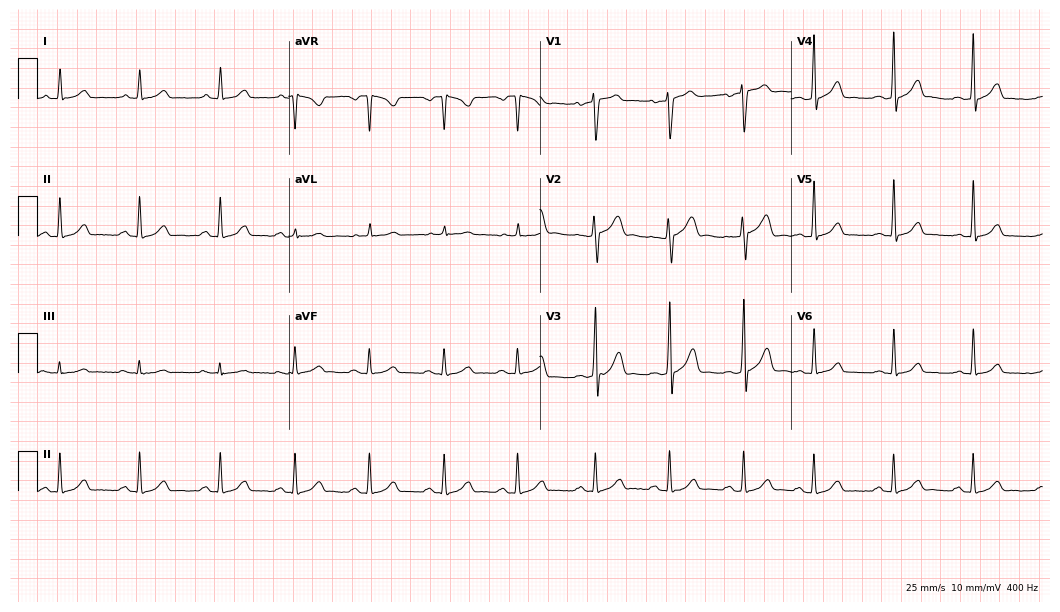
Resting 12-lead electrocardiogram (10.2-second recording at 400 Hz). Patient: a male, 26 years old. Read as a normal ECG.